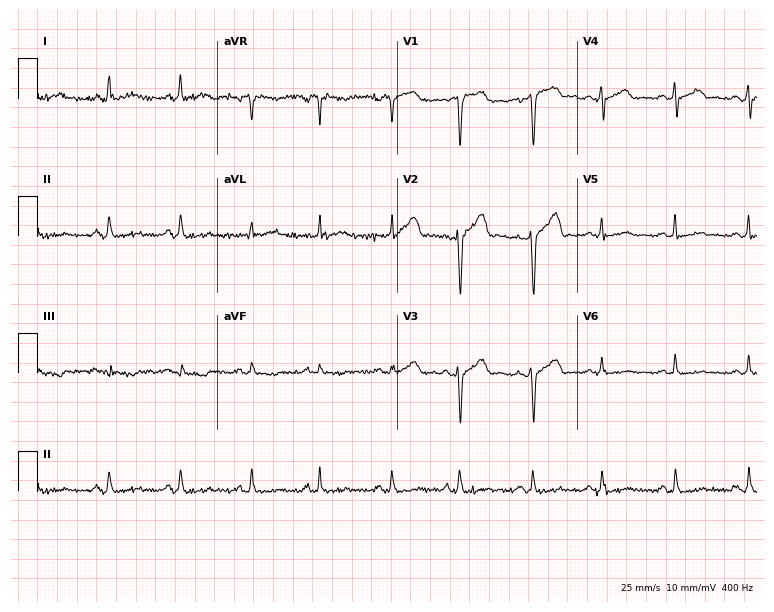
12-lead ECG (7.3-second recording at 400 Hz) from a 50-year-old male. Screened for six findings — first-degree AV block, right bundle branch block, left bundle branch block, sinus bradycardia, atrial fibrillation, sinus tachycardia — none is recorded.